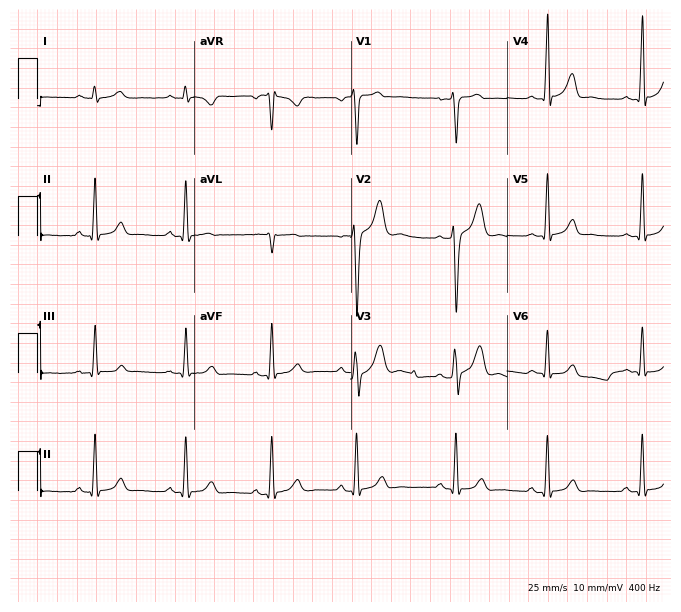
Electrocardiogram (6.4-second recording at 400 Hz), a male patient, 20 years old. Overall reading on record: normal ECG.